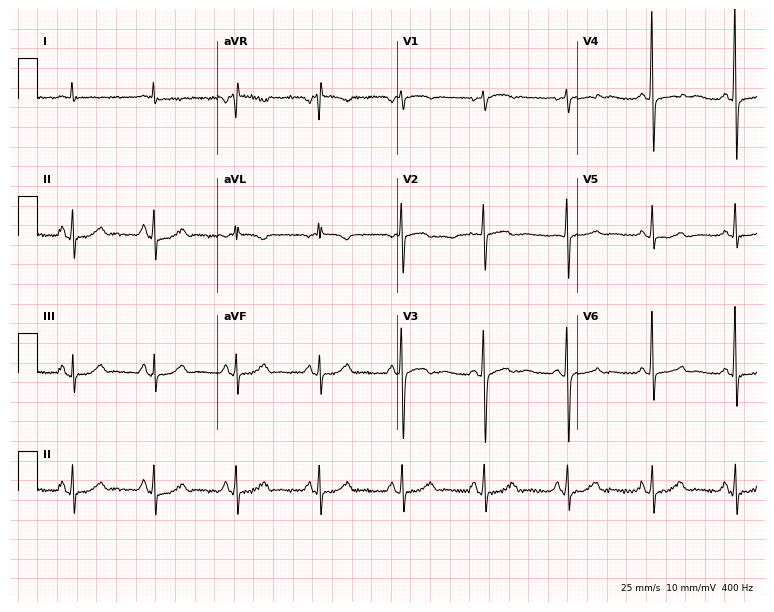
Electrocardiogram (7.3-second recording at 400 Hz), a female patient, 71 years old. Of the six screened findings (first-degree AV block, right bundle branch block, left bundle branch block, sinus bradycardia, atrial fibrillation, sinus tachycardia), none is recorded.